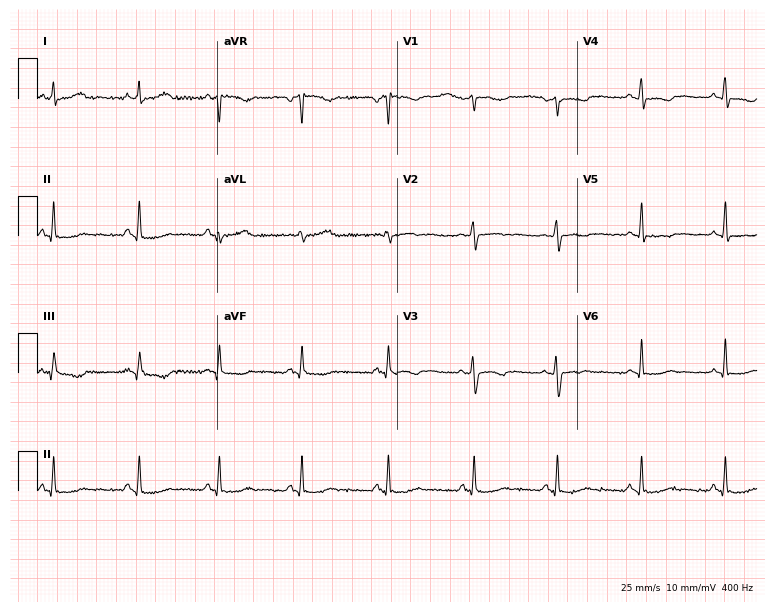
ECG (7.3-second recording at 400 Hz) — a woman, 37 years old. Screened for six findings — first-degree AV block, right bundle branch block, left bundle branch block, sinus bradycardia, atrial fibrillation, sinus tachycardia — none is recorded.